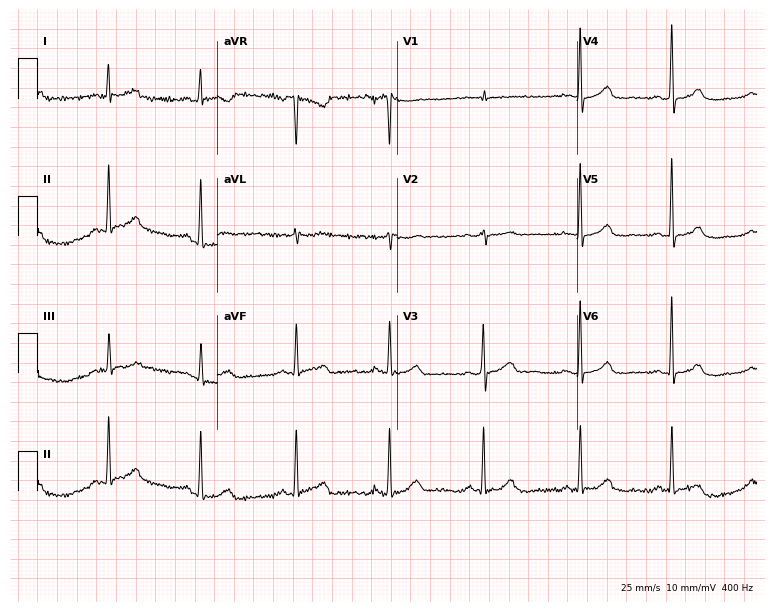
12-lead ECG from a 54-year-old female (7.3-second recording at 400 Hz). No first-degree AV block, right bundle branch block, left bundle branch block, sinus bradycardia, atrial fibrillation or sinus tachycardia recorded for this tracing.